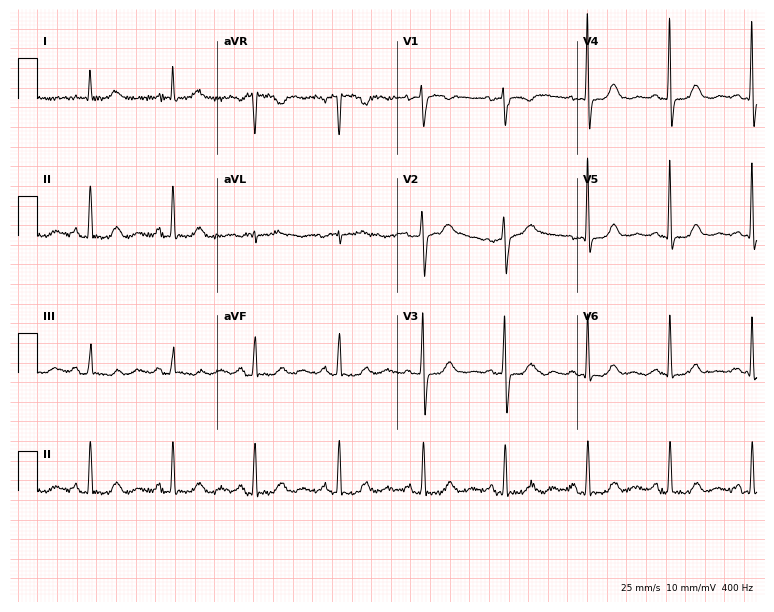
12-lead ECG from a 72-year-old female patient. Screened for six findings — first-degree AV block, right bundle branch block (RBBB), left bundle branch block (LBBB), sinus bradycardia, atrial fibrillation (AF), sinus tachycardia — none is recorded. Other findings, if any, are not listed.